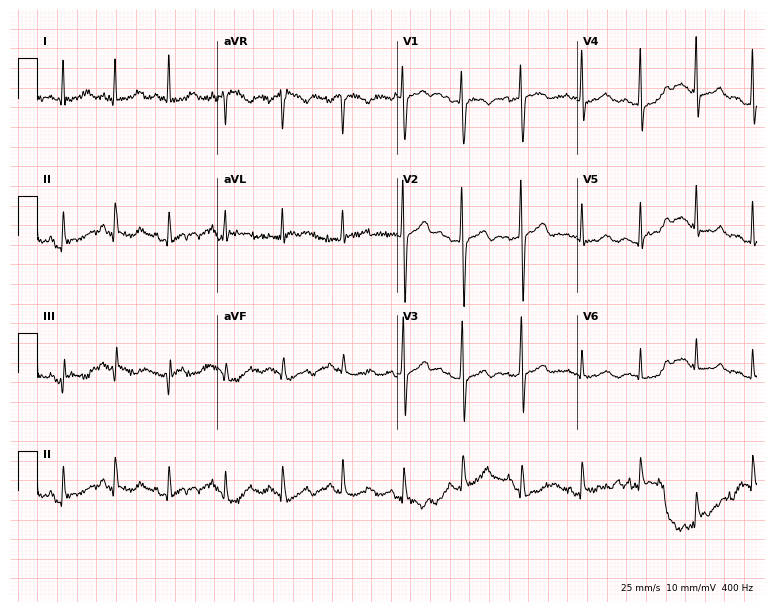
12-lead ECG from a 38-year-old female (7.3-second recording at 400 Hz). No first-degree AV block, right bundle branch block (RBBB), left bundle branch block (LBBB), sinus bradycardia, atrial fibrillation (AF) or sinus tachycardia recorded for this tracing.